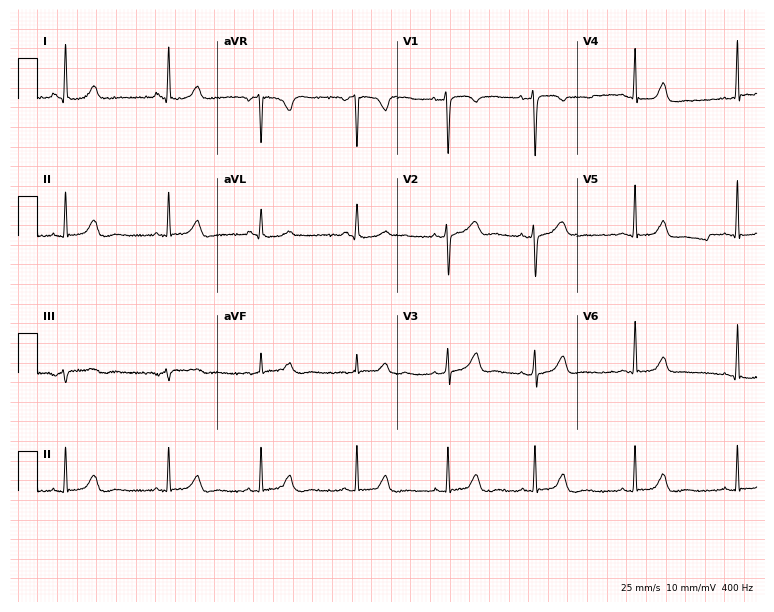
12-lead ECG from a woman, 30 years old (7.3-second recording at 400 Hz). No first-degree AV block, right bundle branch block, left bundle branch block, sinus bradycardia, atrial fibrillation or sinus tachycardia recorded for this tracing.